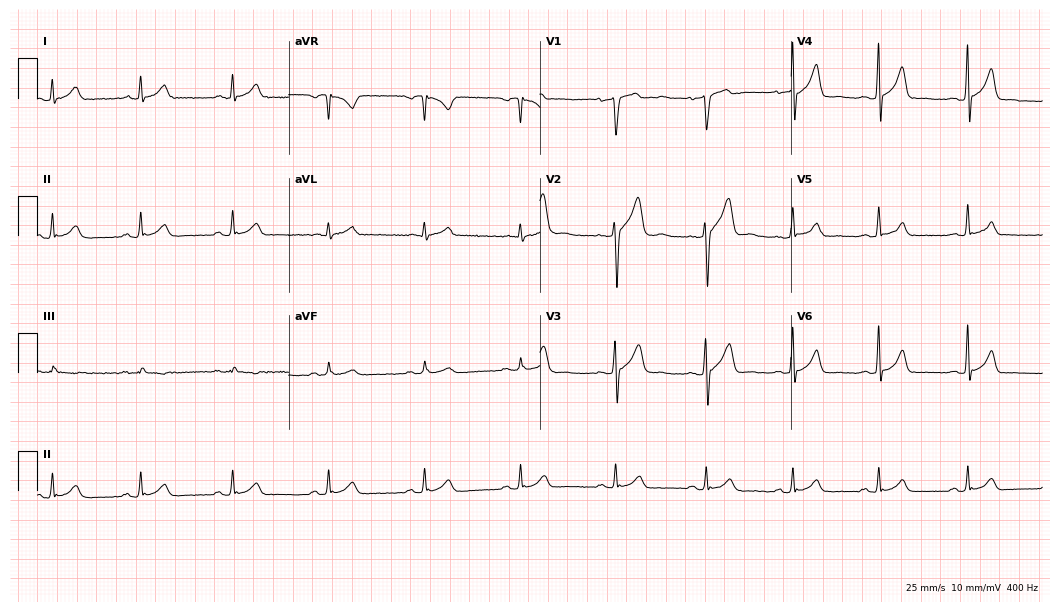
Standard 12-lead ECG recorded from a male patient, 27 years old. Read as a normal ECG.